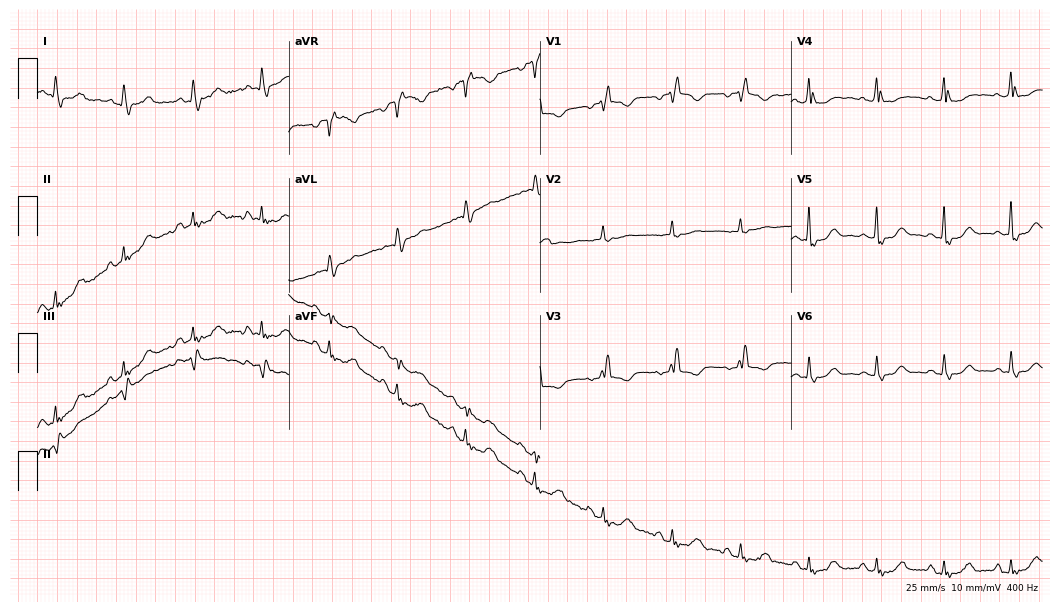
12-lead ECG from a female, 62 years old. No first-degree AV block, right bundle branch block, left bundle branch block, sinus bradycardia, atrial fibrillation or sinus tachycardia recorded for this tracing. Only these six findings were labelled.